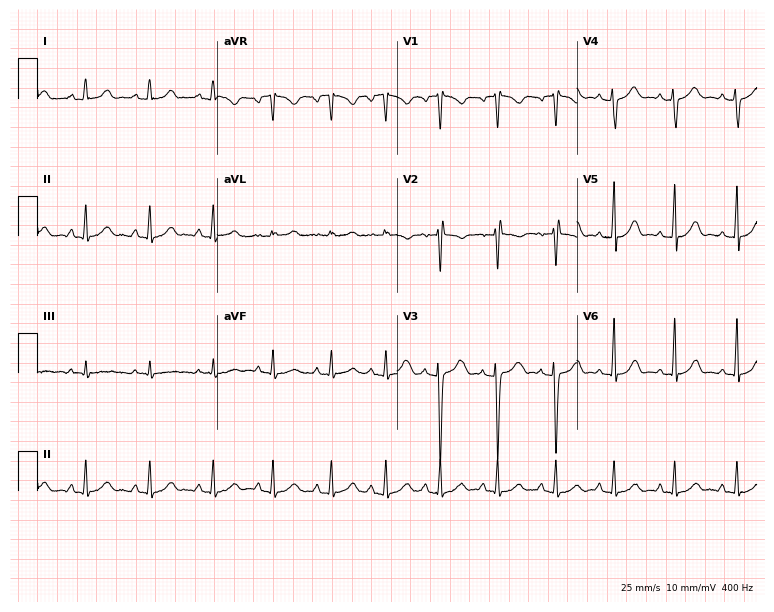
Electrocardiogram, a woman, 22 years old. Of the six screened findings (first-degree AV block, right bundle branch block (RBBB), left bundle branch block (LBBB), sinus bradycardia, atrial fibrillation (AF), sinus tachycardia), none is recorded. Other findings, if any, are not listed.